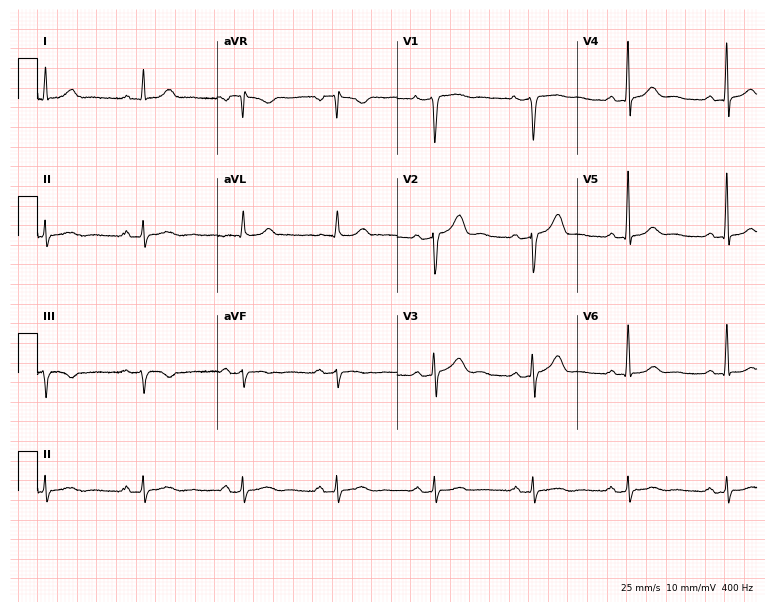
12-lead ECG from a 41-year-old man. Recorded interpretation: within normal limits.